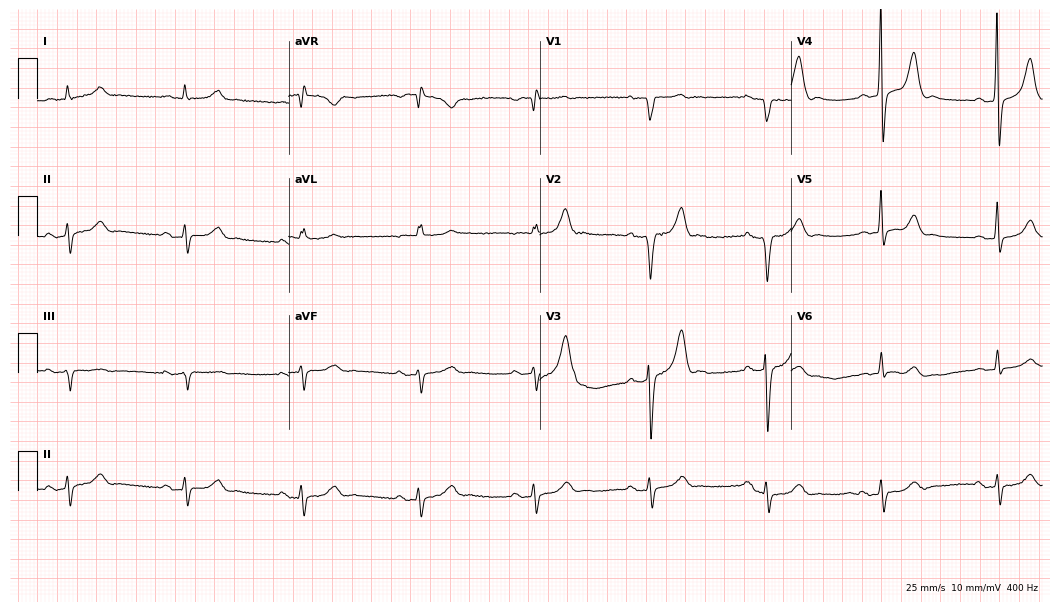
Electrocardiogram, a 78-year-old male. Of the six screened findings (first-degree AV block, right bundle branch block, left bundle branch block, sinus bradycardia, atrial fibrillation, sinus tachycardia), none is recorded. Findings outside these six are not listed.